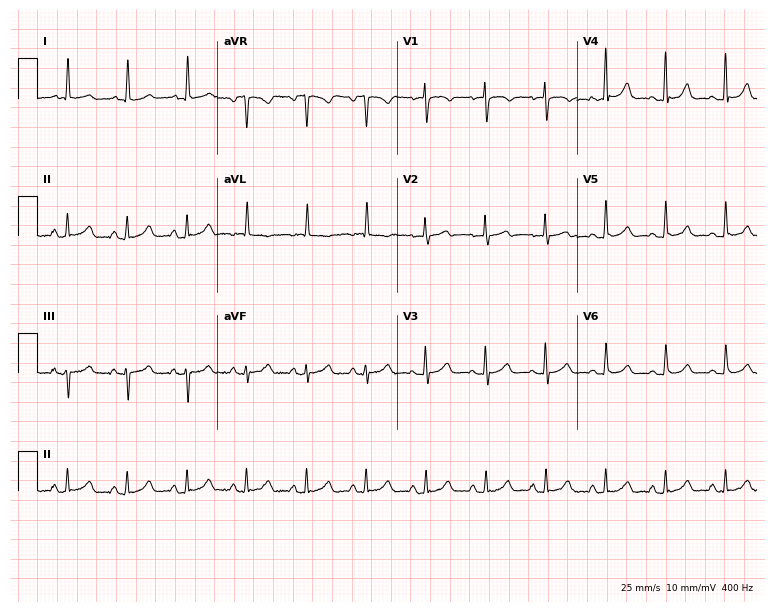
12-lead ECG from a female, 72 years old. Recorded interpretation: within normal limits.